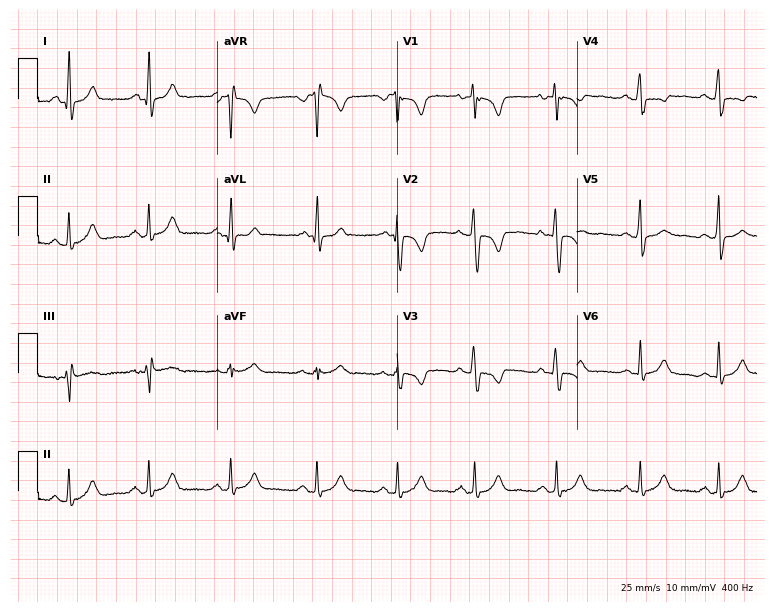
Electrocardiogram (7.3-second recording at 400 Hz), a 27-year-old female patient. Overall reading on record: normal ECG.